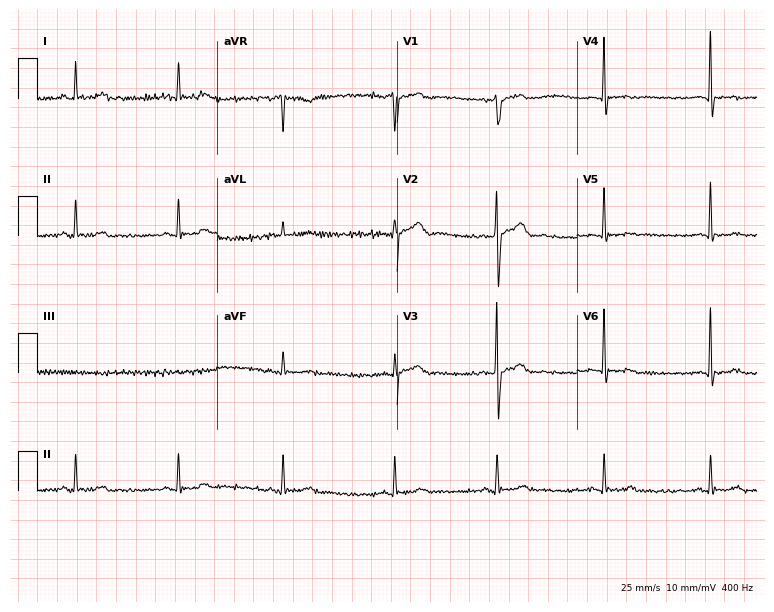
Electrocardiogram (7.3-second recording at 400 Hz), a woman, 47 years old. Of the six screened findings (first-degree AV block, right bundle branch block, left bundle branch block, sinus bradycardia, atrial fibrillation, sinus tachycardia), none is recorded.